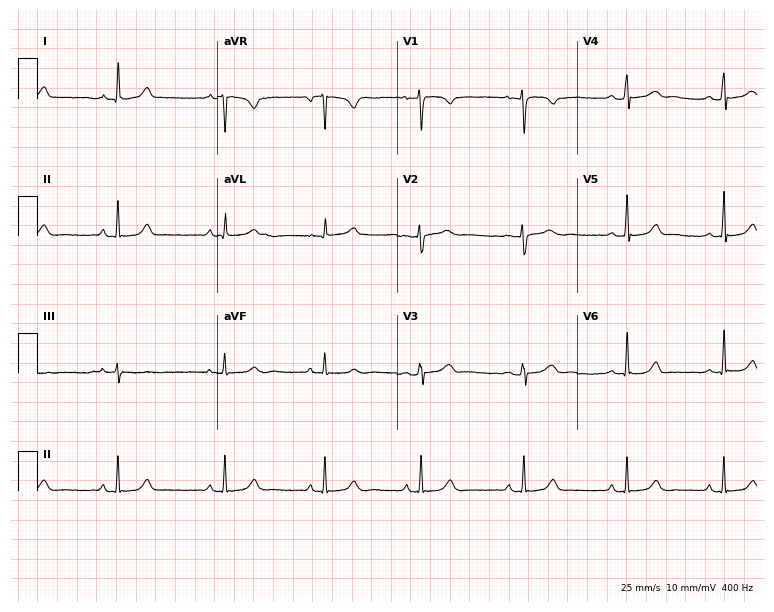
Resting 12-lead electrocardiogram. Patient: a female, 19 years old. None of these six findings is recorded: first-degree AV block, right bundle branch block (RBBB), left bundle branch block (LBBB), sinus bradycardia, atrial fibrillation (AF), sinus tachycardia.